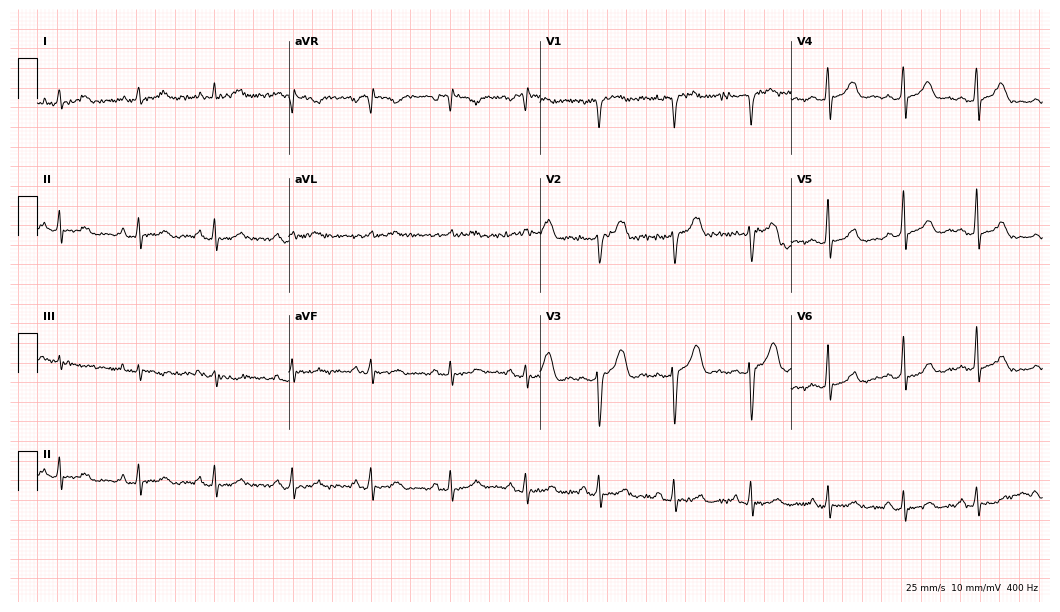
12-lead ECG from a female patient, 38 years old. Labelled as a normal ECG.